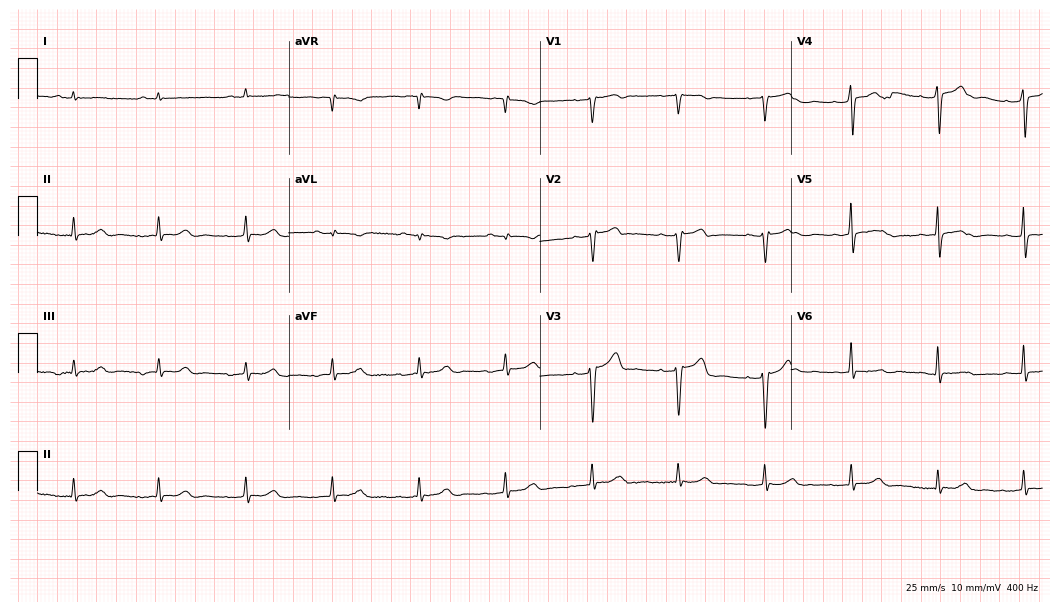
Standard 12-lead ECG recorded from a 53-year-old male patient (10.2-second recording at 400 Hz). None of these six findings is recorded: first-degree AV block, right bundle branch block, left bundle branch block, sinus bradycardia, atrial fibrillation, sinus tachycardia. Other findings, if any, are not listed.